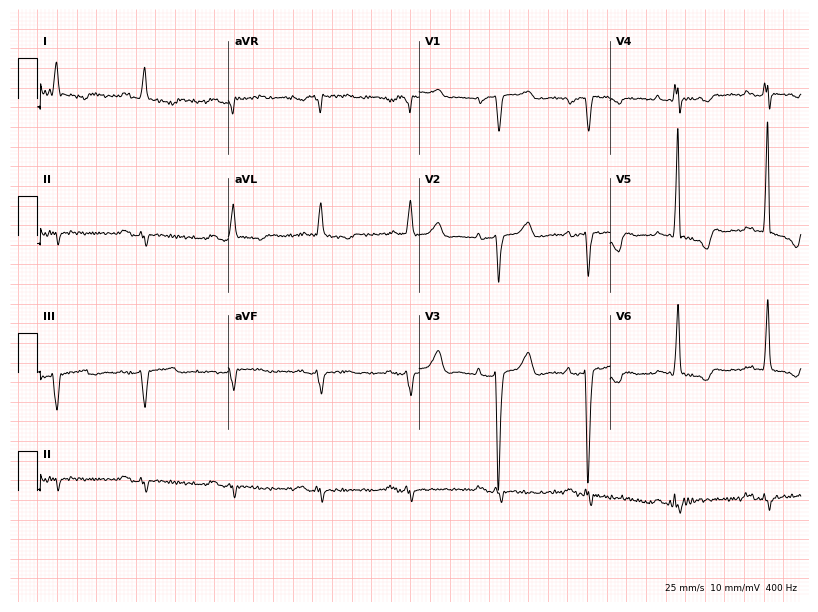
Electrocardiogram, a male, 76 years old. Of the six screened findings (first-degree AV block, right bundle branch block (RBBB), left bundle branch block (LBBB), sinus bradycardia, atrial fibrillation (AF), sinus tachycardia), none is recorded.